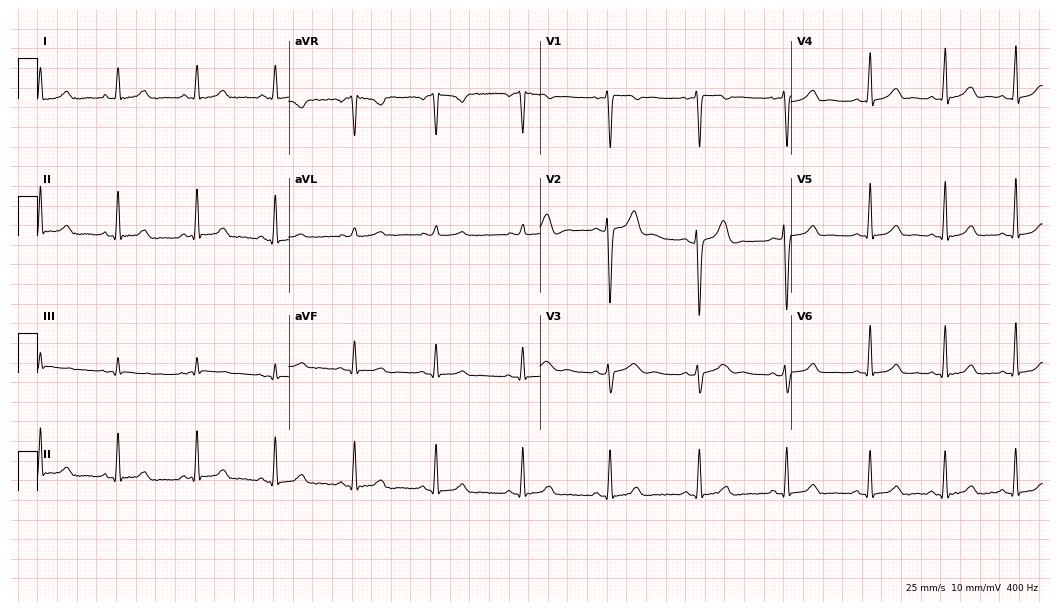
ECG — a 21-year-old female. Labelled as a normal ECG.